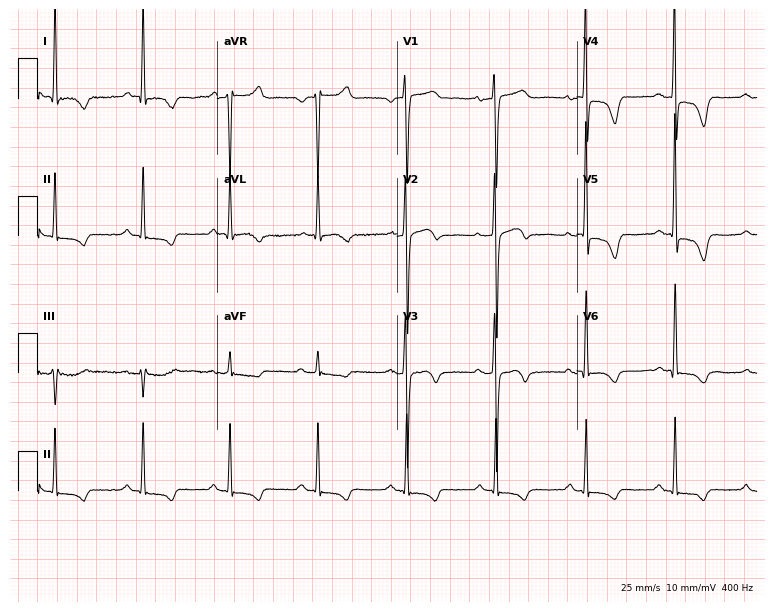
Standard 12-lead ECG recorded from a female patient, 76 years old (7.3-second recording at 400 Hz). None of these six findings is recorded: first-degree AV block, right bundle branch block, left bundle branch block, sinus bradycardia, atrial fibrillation, sinus tachycardia.